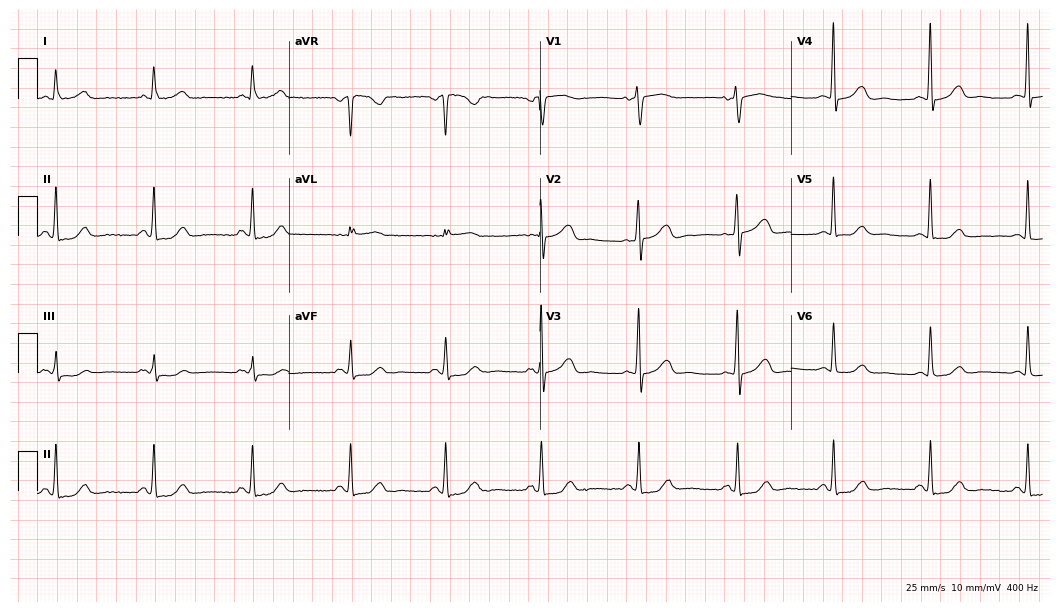
Electrocardiogram (10.2-second recording at 400 Hz), a female patient, 63 years old. Of the six screened findings (first-degree AV block, right bundle branch block (RBBB), left bundle branch block (LBBB), sinus bradycardia, atrial fibrillation (AF), sinus tachycardia), none is recorded.